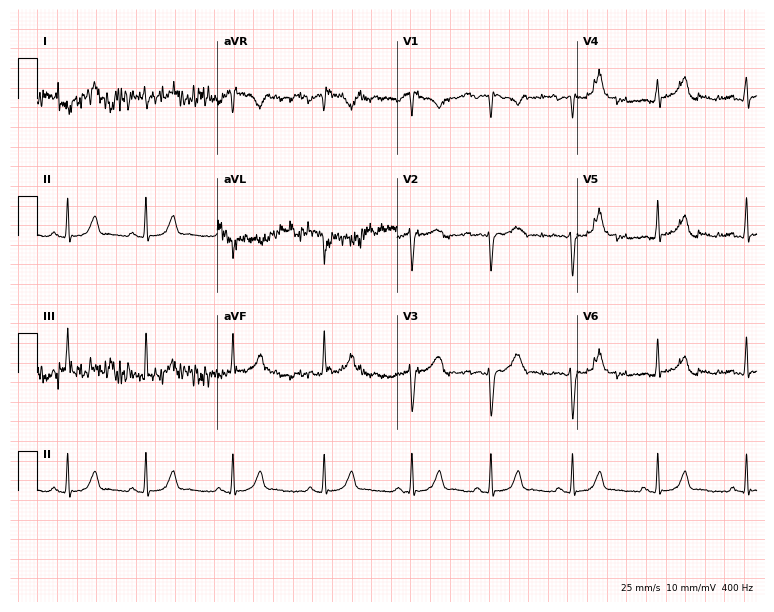
12-lead ECG (7.3-second recording at 400 Hz) from a 22-year-old female patient. Screened for six findings — first-degree AV block, right bundle branch block, left bundle branch block, sinus bradycardia, atrial fibrillation, sinus tachycardia — none is recorded. Only these six findings were labelled.